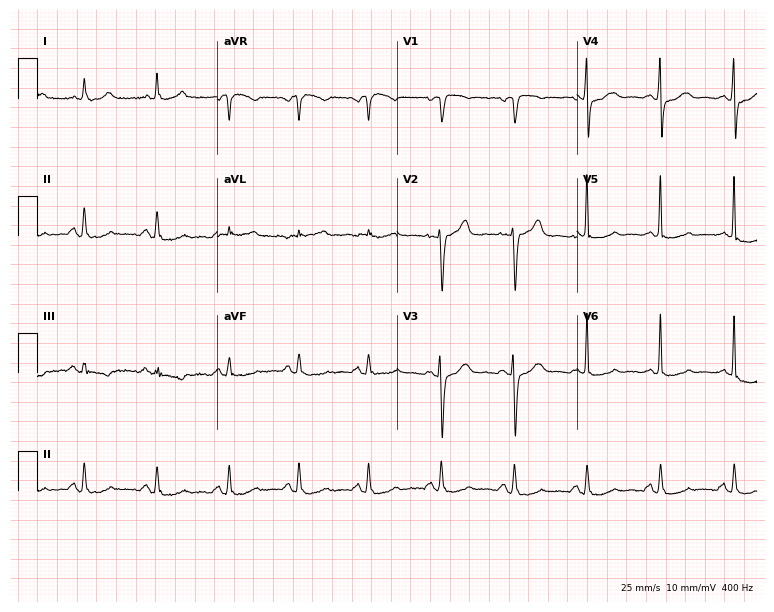
12-lead ECG (7.3-second recording at 400 Hz) from a woman, 65 years old. Screened for six findings — first-degree AV block, right bundle branch block, left bundle branch block, sinus bradycardia, atrial fibrillation, sinus tachycardia — none is recorded. Findings outside these six are not listed.